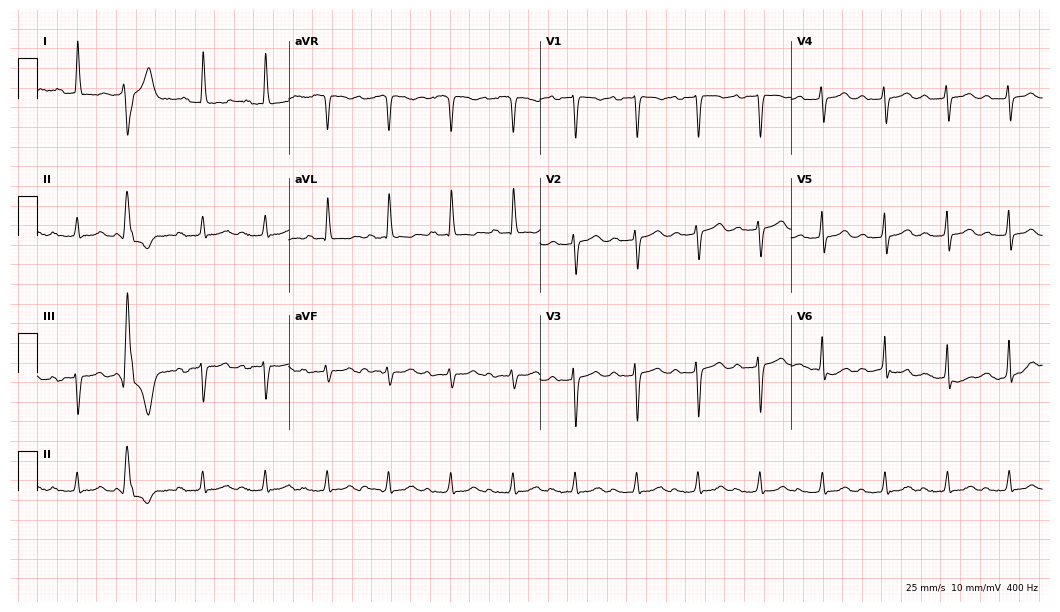
Electrocardiogram, a woman, 85 years old. Of the six screened findings (first-degree AV block, right bundle branch block (RBBB), left bundle branch block (LBBB), sinus bradycardia, atrial fibrillation (AF), sinus tachycardia), none is recorded. Findings outside these six are not listed.